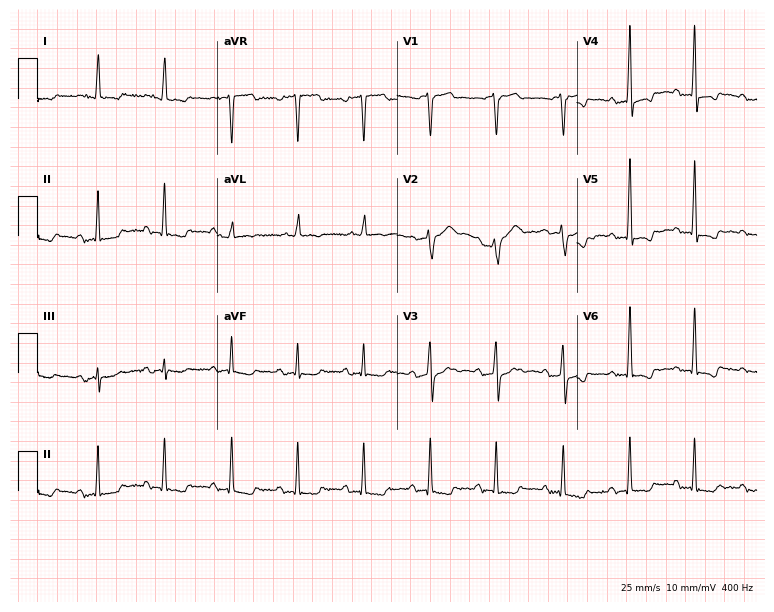
12-lead ECG from a male, 73 years old (7.3-second recording at 400 Hz). No first-degree AV block, right bundle branch block, left bundle branch block, sinus bradycardia, atrial fibrillation or sinus tachycardia recorded for this tracing.